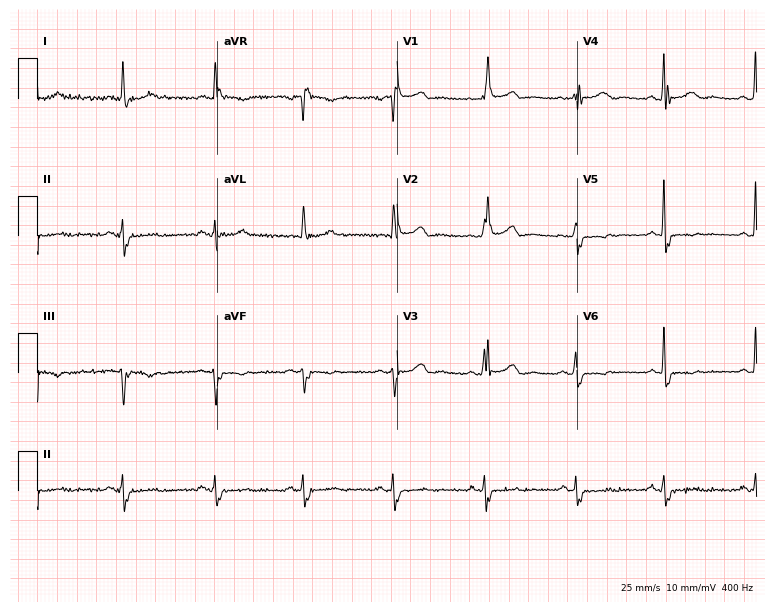
Standard 12-lead ECG recorded from a 79-year-old female patient (7.3-second recording at 400 Hz). None of these six findings is recorded: first-degree AV block, right bundle branch block (RBBB), left bundle branch block (LBBB), sinus bradycardia, atrial fibrillation (AF), sinus tachycardia. Findings outside these six are not listed.